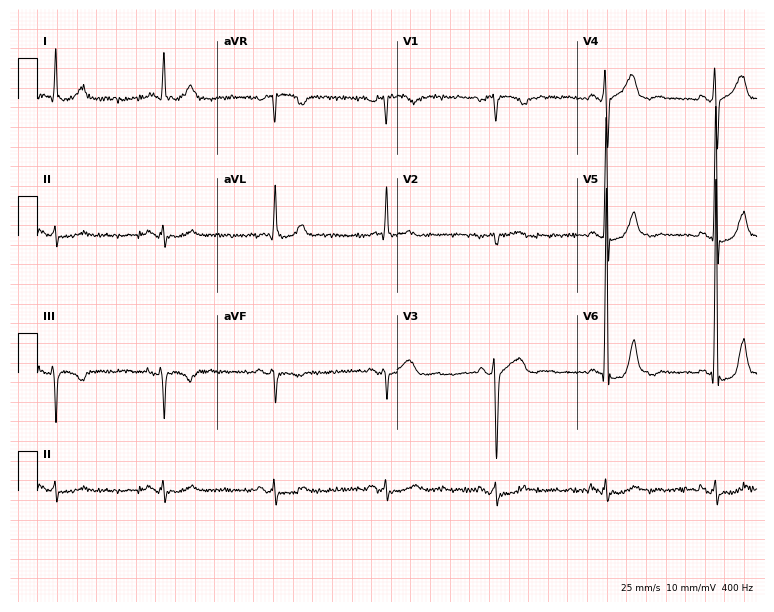
Standard 12-lead ECG recorded from a man, 76 years old. None of these six findings is recorded: first-degree AV block, right bundle branch block, left bundle branch block, sinus bradycardia, atrial fibrillation, sinus tachycardia.